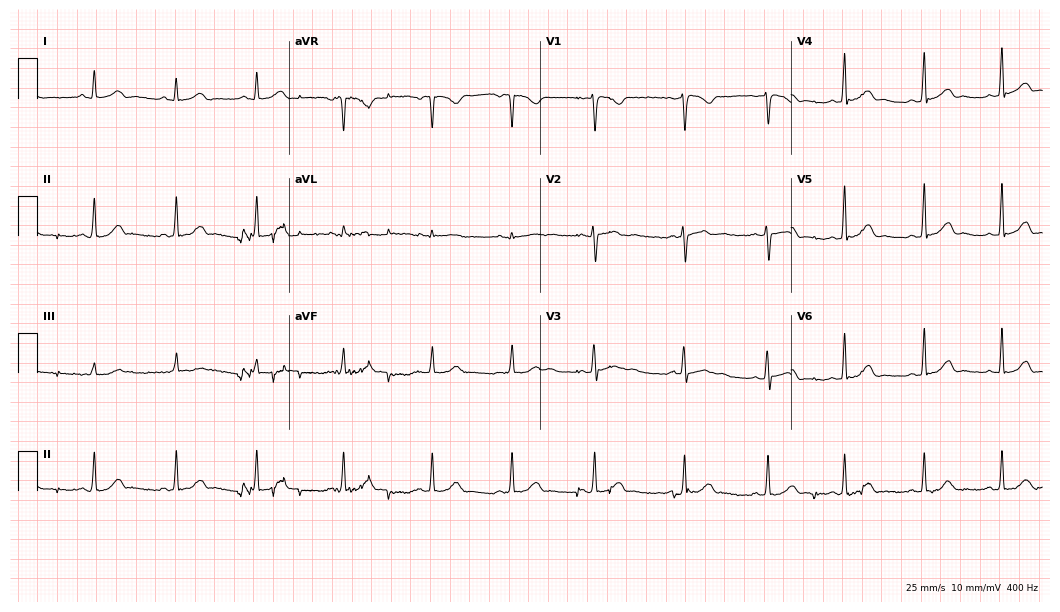
Electrocardiogram, a woman, 33 years old. Overall reading on record: normal ECG.